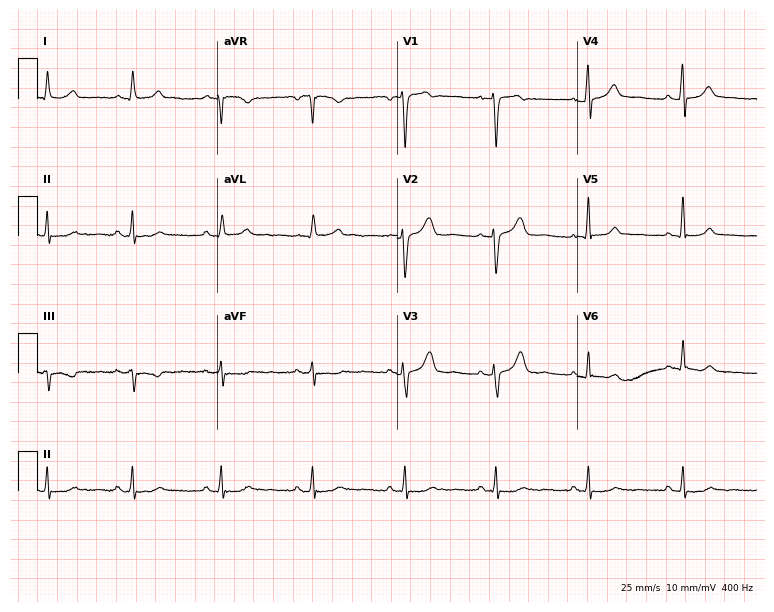
ECG — a female, 45 years old. Screened for six findings — first-degree AV block, right bundle branch block, left bundle branch block, sinus bradycardia, atrial fibrillation, sinus tachycardia — none is recorded. Findings outside these six are not listed.